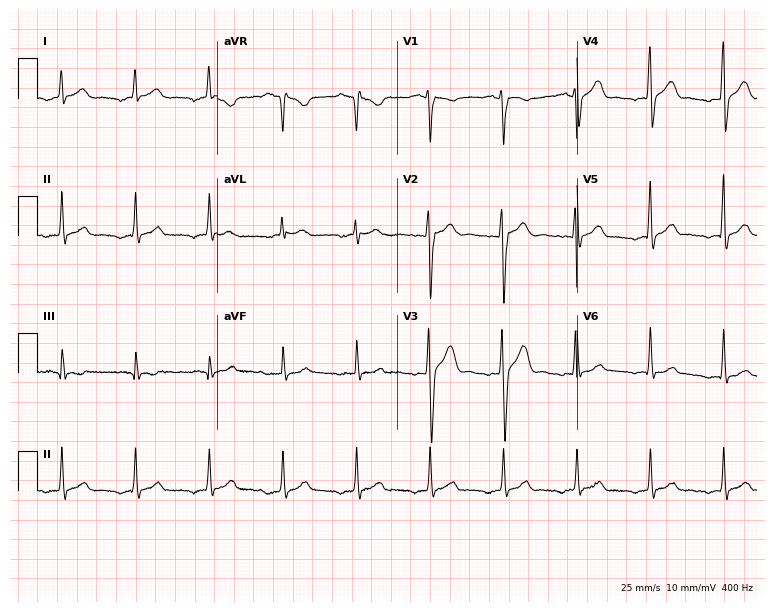
Standard 12-lead ECG recorded from a man, 32 years old (7.3-second recording at 400 Hz). Read as a normal ECG.